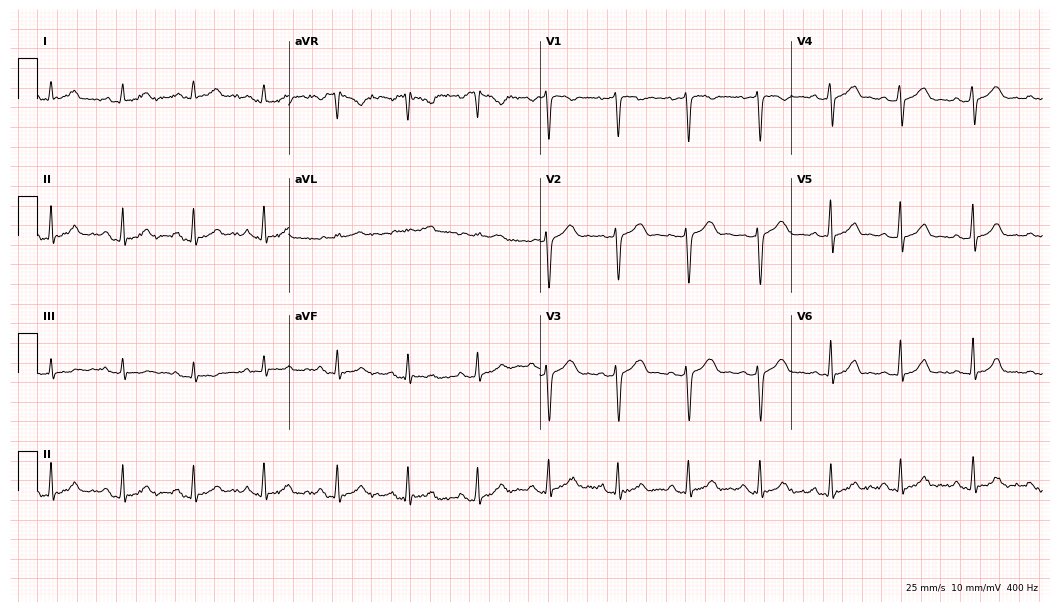
12-lead ECG (10.2-second recording at 400 Hz) from a 22-year-old female patient. Screened for six findings — first-degree AV block, right bundle branch block, left bundle branch block, sinus bradycardia, atrial fibrillation, sinus tachycardia — none is recorded.